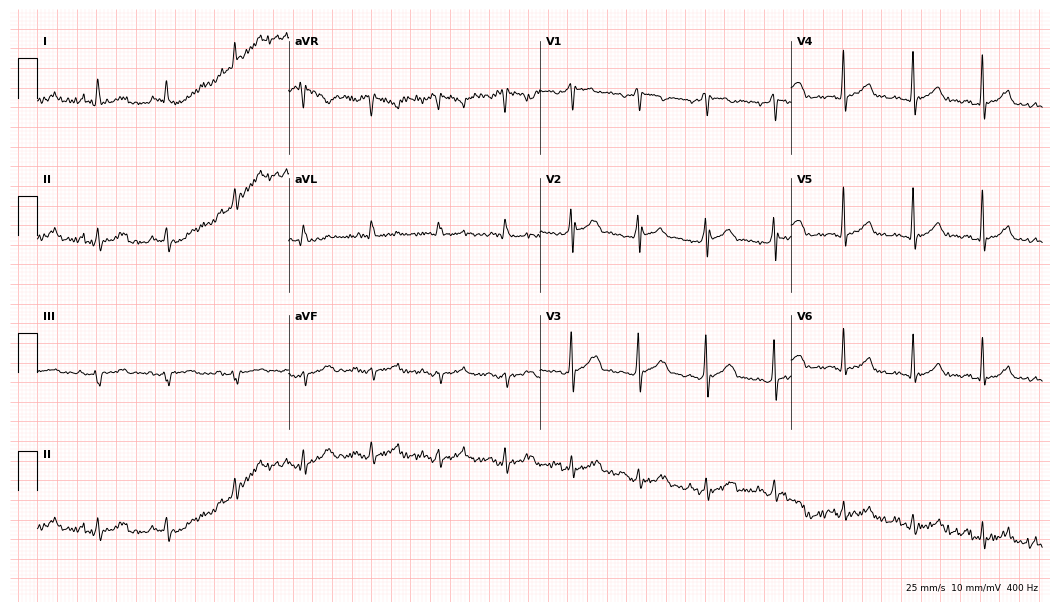
Standard 12-lead ECG recorded from a 52-year-old man (10.2-second recording at 400 Hz). Read as a normal ECG.